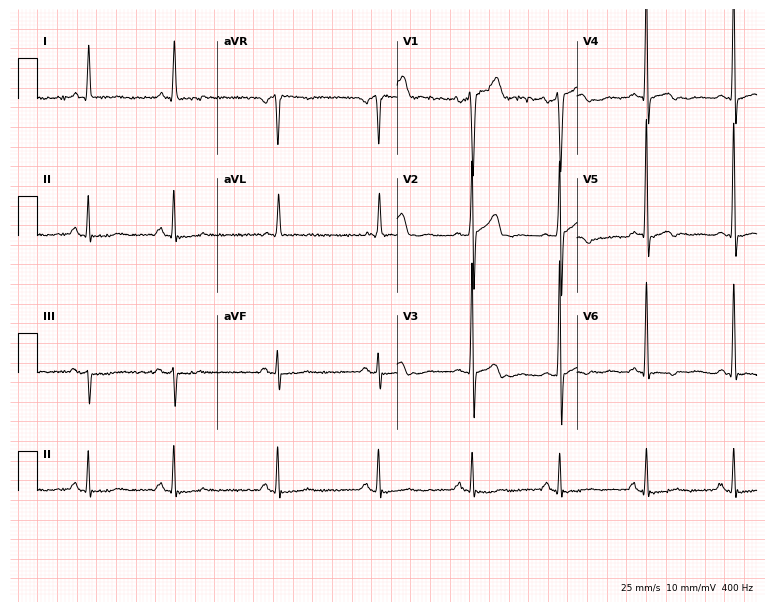
12-lead ECG (7.3-second recording at 400 Hz) from a male patient, 77 years old. Screened for six findings — first-degree AV block, right bundle branch block, left bundle branch block, sinus bradycardia, atrial fibrillation, sinus tachycardia — none is recorded. Only these six findings were labelled.